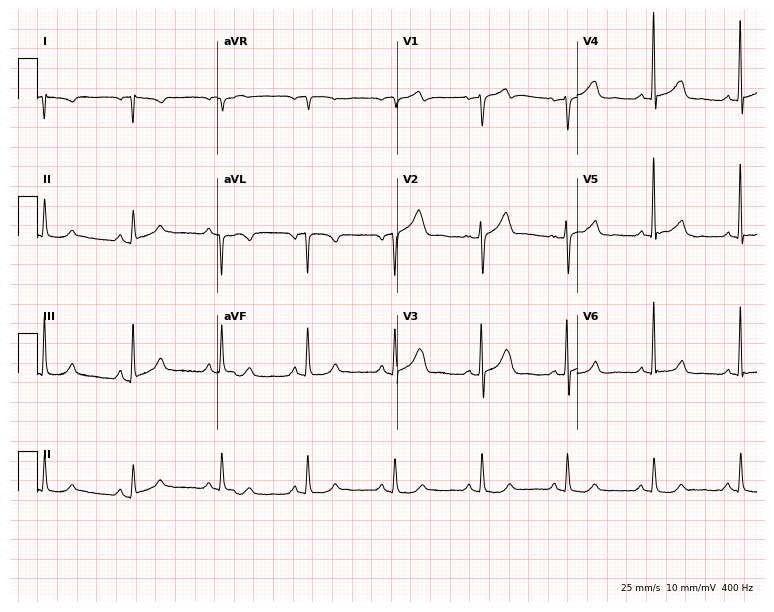
12-lead ECG from a man, 65 years old. Screened for six findings — first-degree AV block, right bundle branch block, left bundle branch block, sinus bradycardia, atrial fibrillation, sinus tachycardia — none is recorded. Only these six findings were labelled.